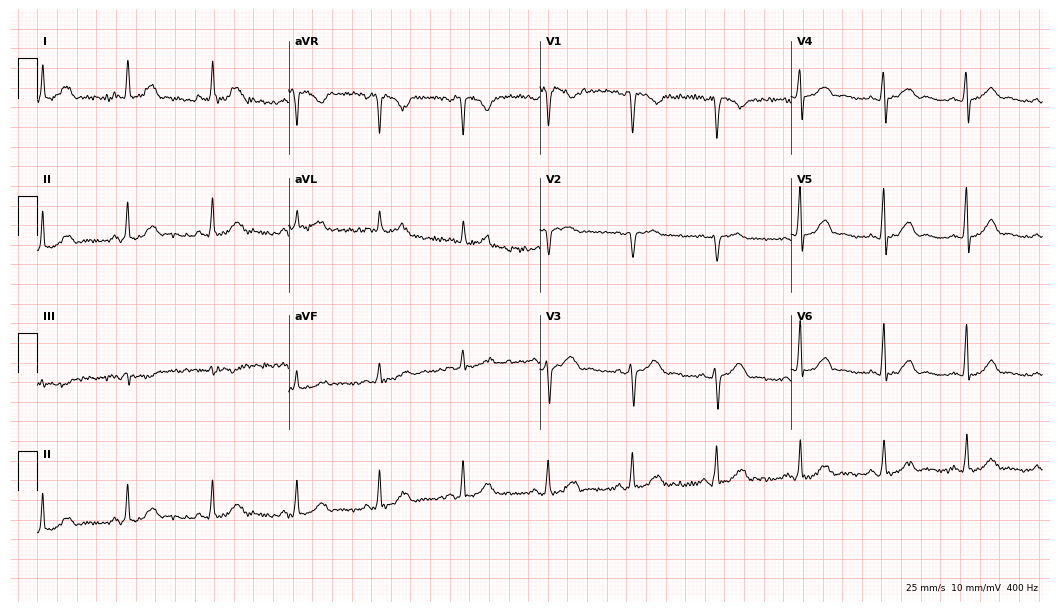
Resting 12-lead electrocardiogram (10.2-second recording at 400 Hz). Patient: a female, 46 years old. Read as a normal ECG.